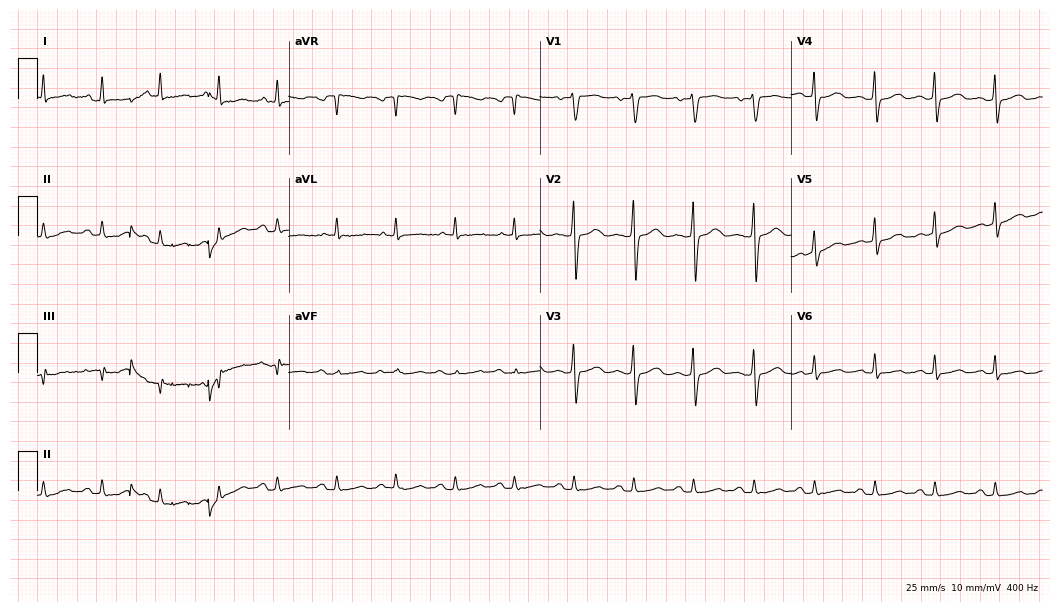
ECG (10.2-second recording at 400 Hz) — a woman, 49 years old. Screened for six findings — first-degree AV block, right bundle branch block, left bundle branch block, sinus bradycardia, atrial fibrillation, sinus tachycardia — none is recorded.